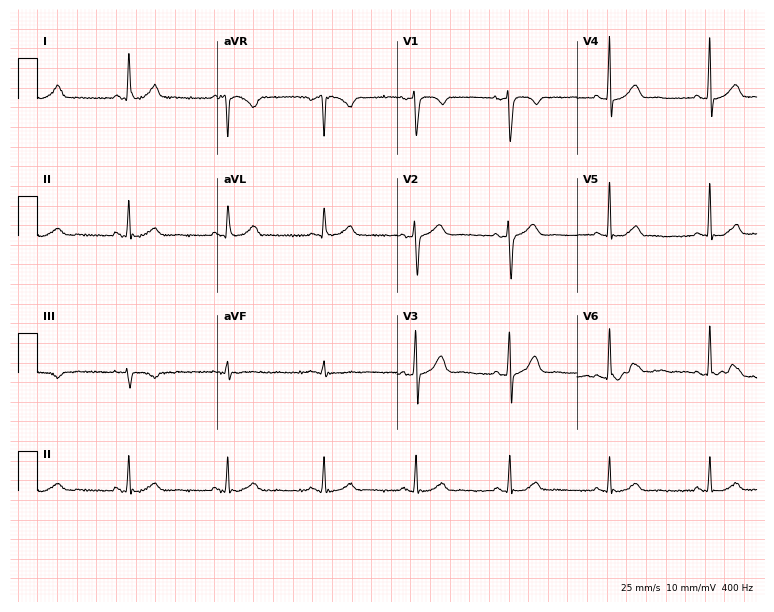
ECG (7.3-second recording at 400 Hz) — a female patient, 54 years old. Labelled as a normal ECG.